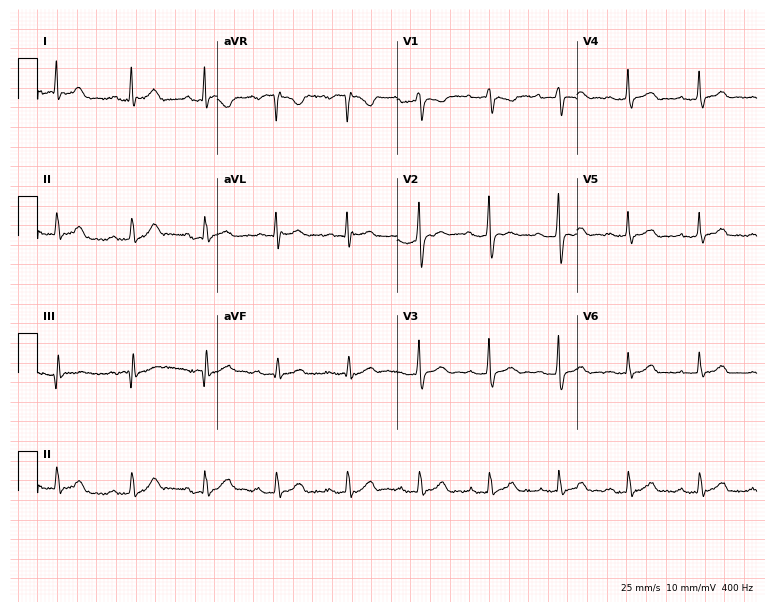
Electrocardiogram (7.3-second recording at 400 Hz), a male, 35 years old. Overall reading on record: normal ECG.